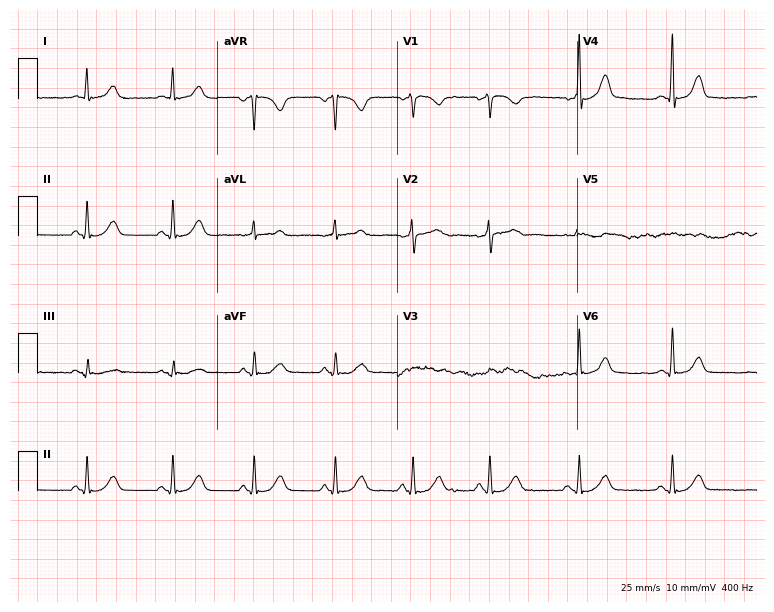
Resting 12-lead electrocardiogram. Patient: a 44-year-old male. Read as a normal ECG.